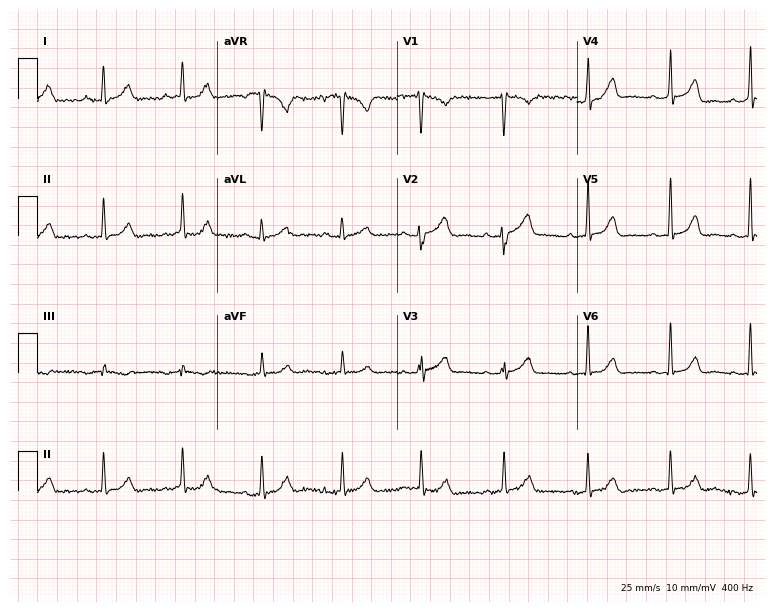
12-lead ECG from a female patient, 36 years old. Screened for six findings — first-degree AV block, right bundle branch block, left bundle branch block, sinus bradycardia, atrial fibrillation, sinus tachycardia — none is recorded.